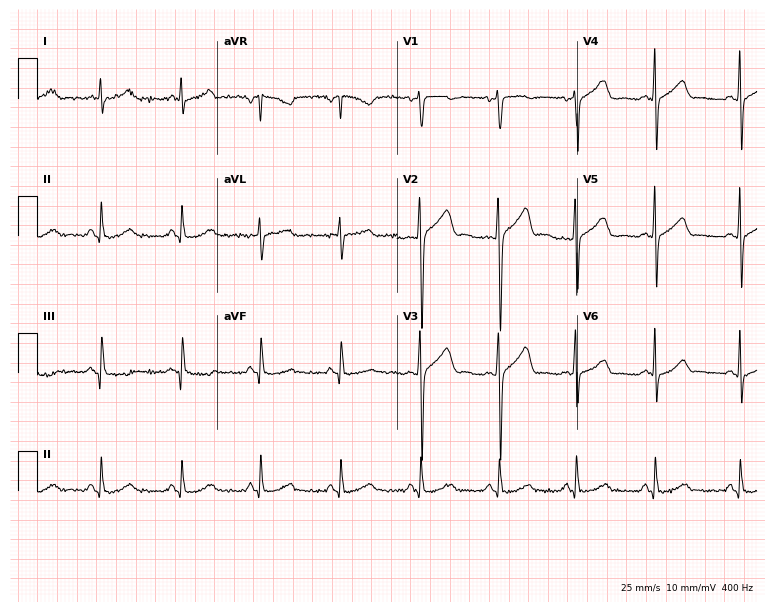
ECG — a man, 39 years old. Screened for six findings — first-degree AV block, right bundle branch block, left bundle branch block, sinus bradycardia, atrial fibrillation, sinus tachycardia — none is recorded.